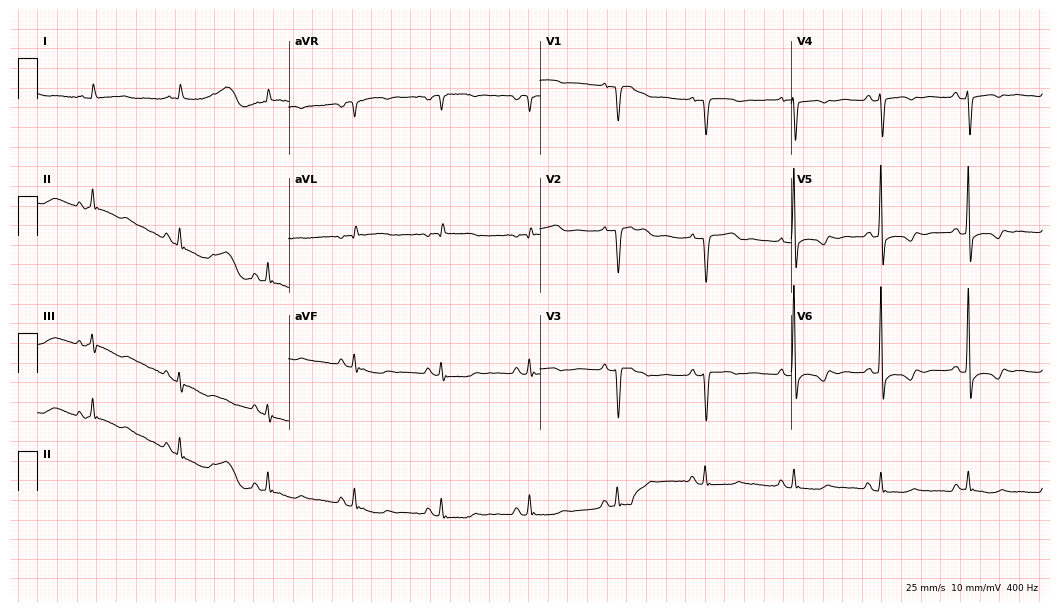
Standard 12-lead ECG recorded from a 76-year-old female patient (10.2-second recording at 400 Hz). None of these six findings is recorded: first-degree AV block, right bundle branch block (RBBB), left bundle branch block (LBBB), sinus bradycardia, atrial fibrillation (AF), sinus tachycardia.